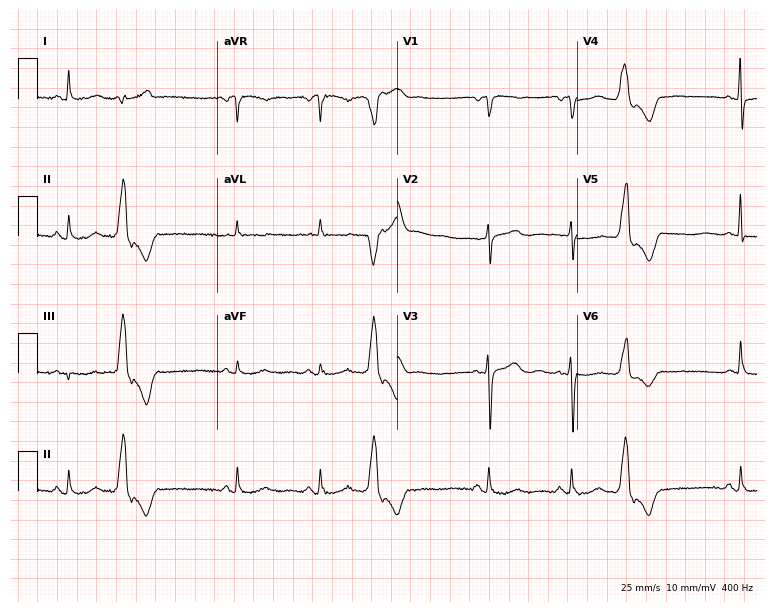
Resting 12-lead electrocardiogram. Patient: a female, 66 years old. None of these six findings is recorded: first-degree AV block, right bundle branch block (RBBB), left bundle branch block (LBBB), sinus bradycardia, atrial fibrillation (AF), sinus tachycardia.